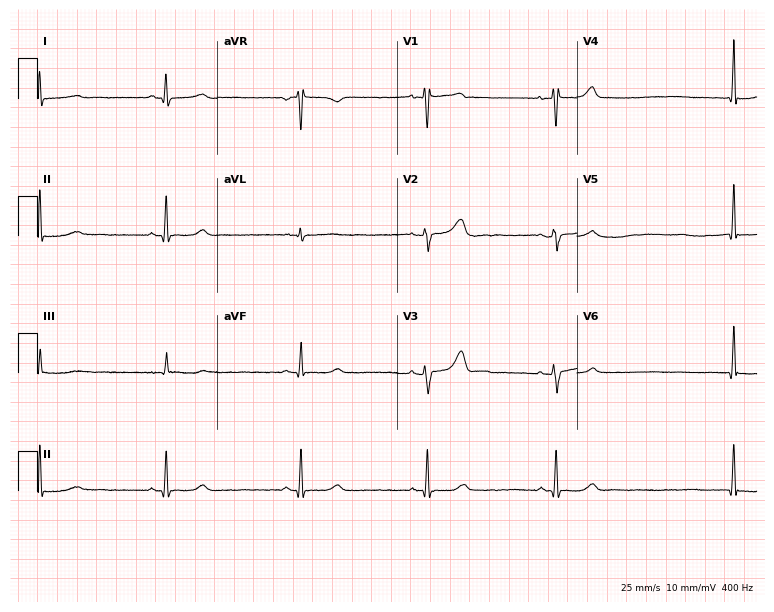
12-lead ECG from a female patient, 37 years old. Shows sinus bradycardia (a sinus rate of 50 beats per minute or less).